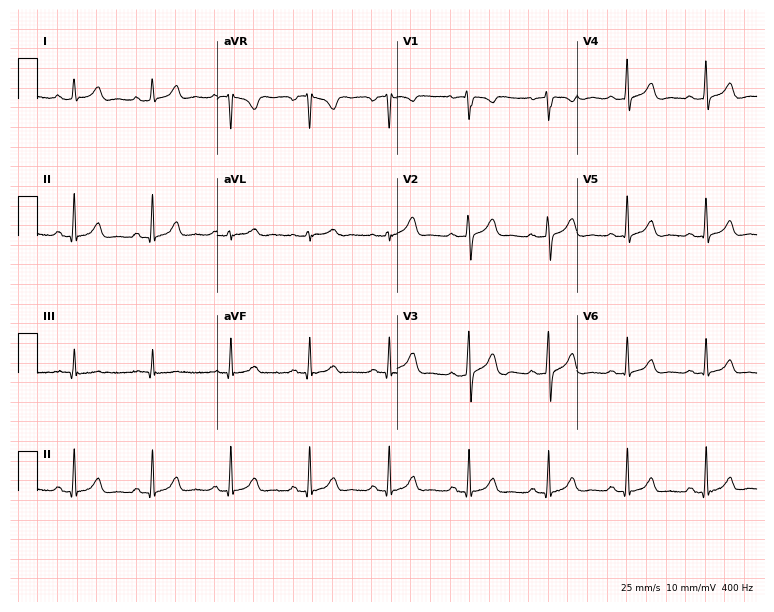
ECG (7.3-second recording at 400 Hz) — a woman, 43 years old. Labelled as a normal ECG.